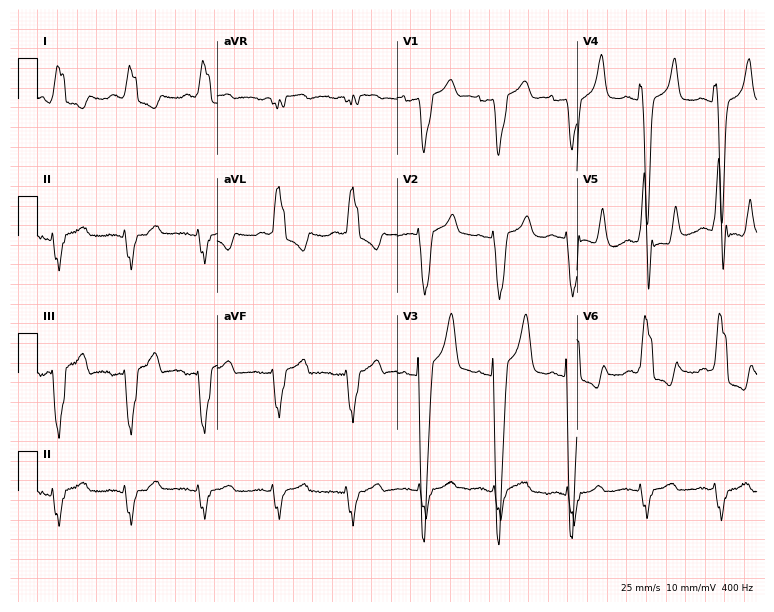
Resting 12-lead electrocardiogram. Patient: a 75-year-old woman. The tracing shows left bundle branch block.